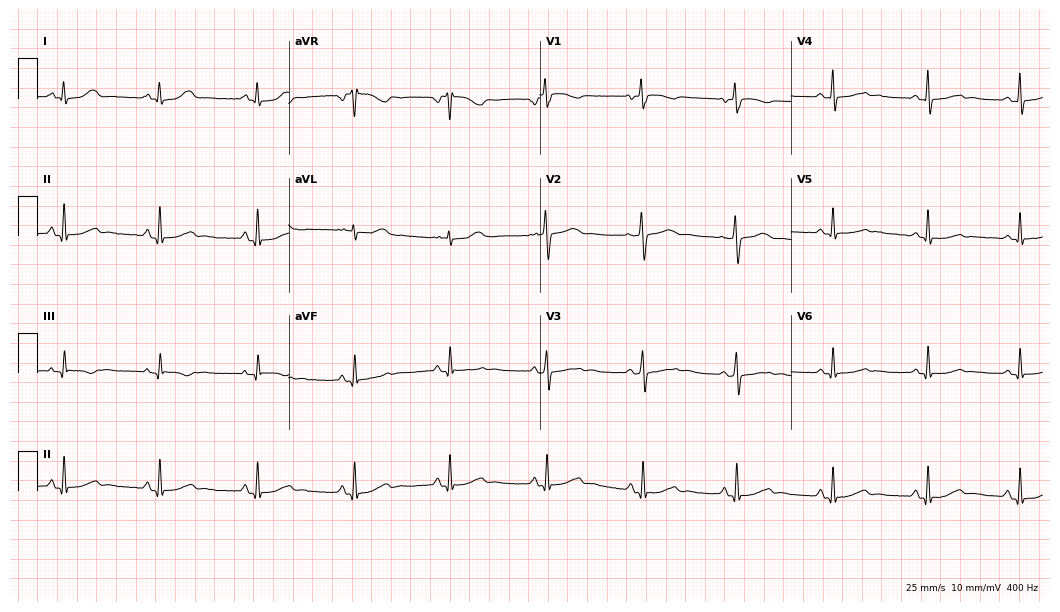
ECG (10.2-second recording at 400 Hz) — a 38-year-old female. Labelled as a normal ECG.